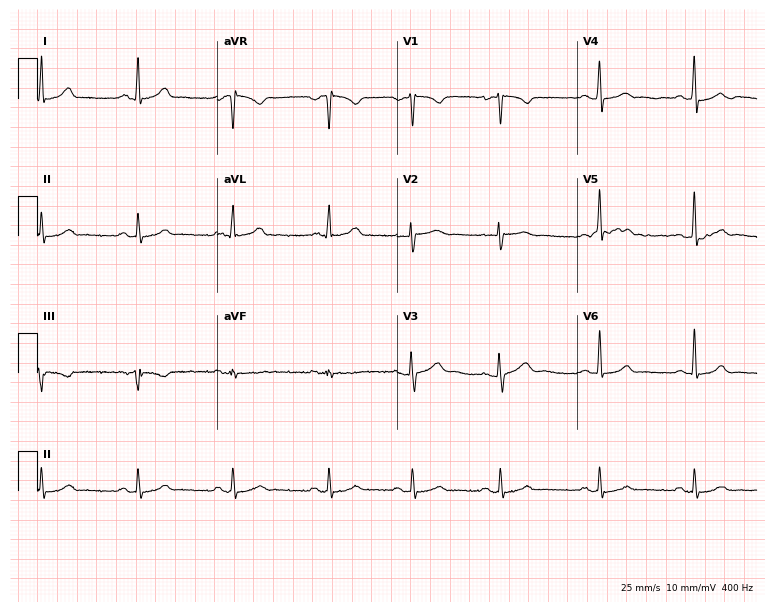
Standard 12-lead ECG recorded from a female patient, 32 years old (7.3-second recording at 400 Hz). Read as a normal ECG.